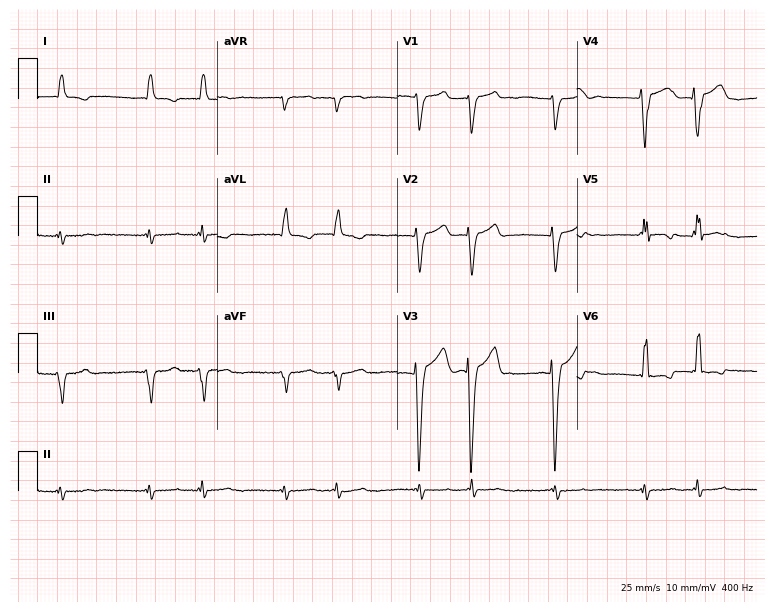
Resting 12-lead electrocardiogram (7.3-second recording at 400 Hz). Patient: a 69-year-old man. The tracing shows atrial fibrillation.